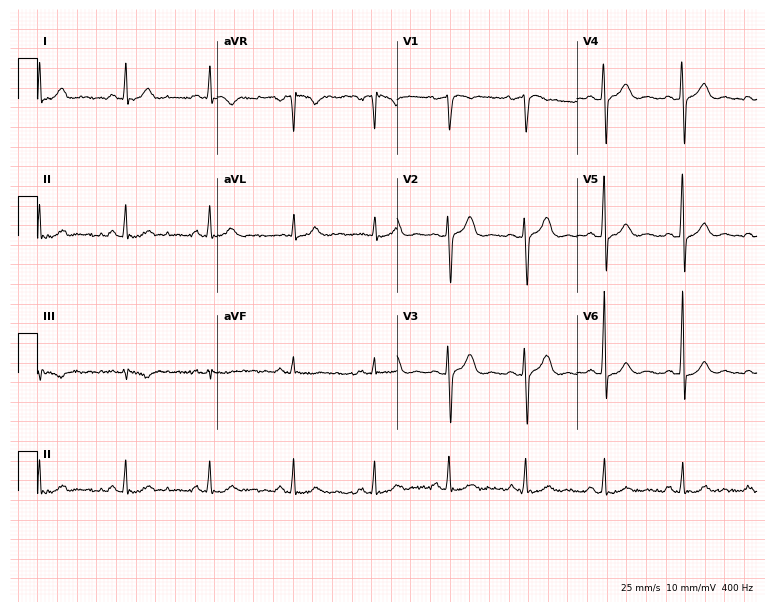
Standard 12-lead ECG recorded from a man, 36 years old (7.3-second recording at 400 Hz). Read as a normal ECG.